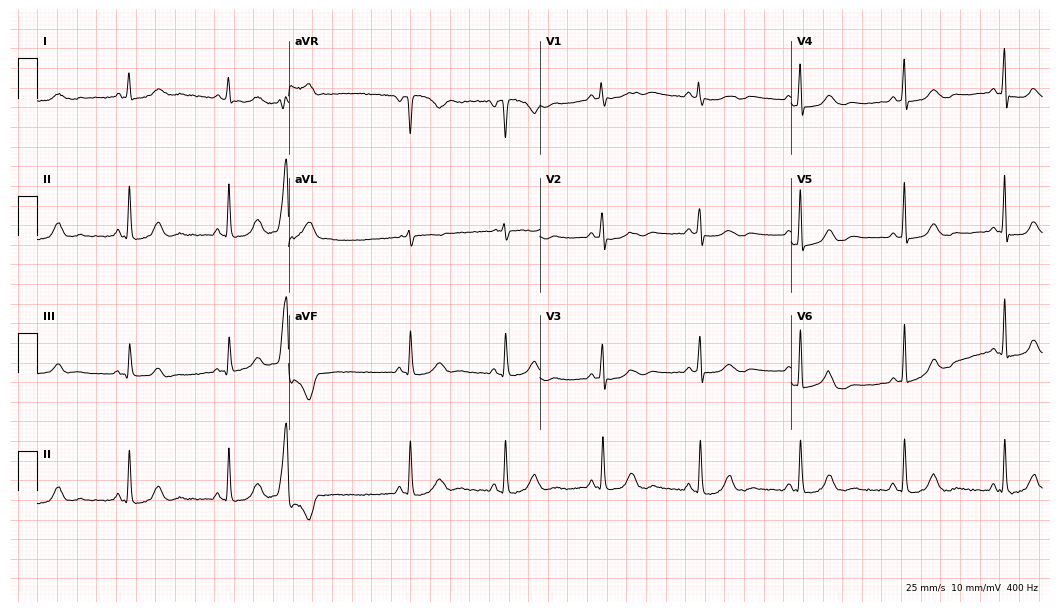
12-lead ECG from a 47-year-old female patient (10.2-second recording at 400 Hz). No first-degree AV block, right bundle branch block, left bundle branch block, sinus bradycardia, atrial fibrillation or sinus tachycardia recorded for this tracing. Findings outside these six are not listed.